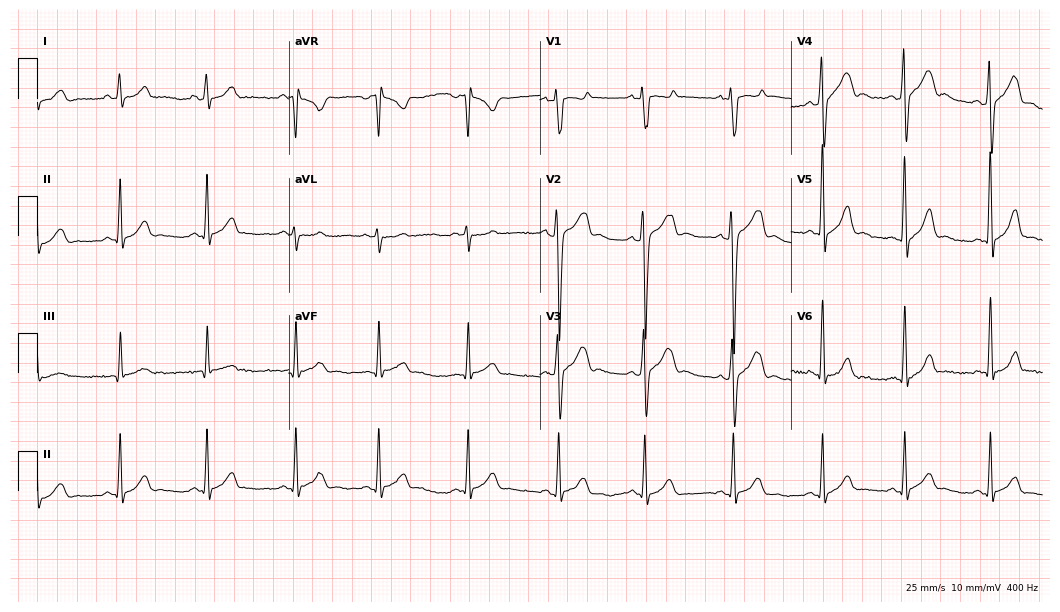
ECG (10.2-second recording at 400 Hz) — a 17-year-old man. Labelled as a normal ECG.